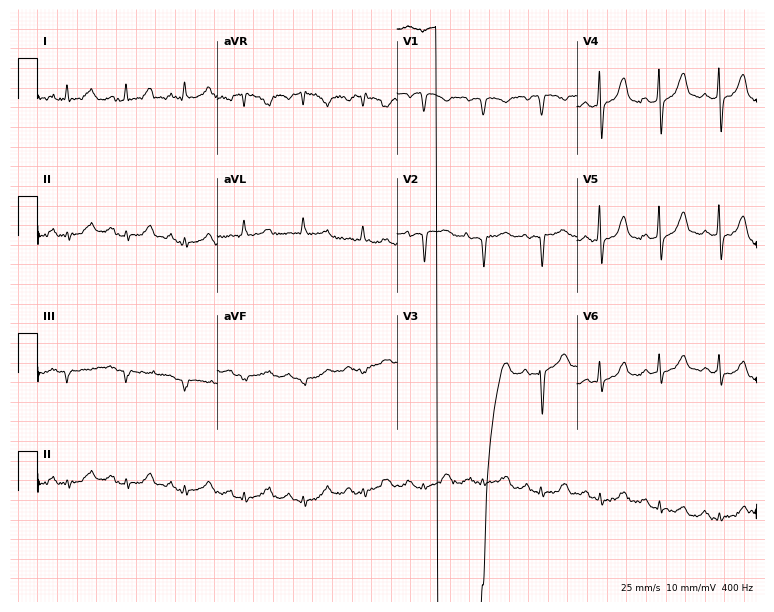
Electrocardiogram (7.3-second recording at 400 Hz), a woman, 75 years old. Of the six screened findings (first-degree AV block, right bundle branch block, left bundle branch block, sinus bradycardia, atrial fibrillation, sinus tachycardia), none is recorded. Findings outside these six are not listed.